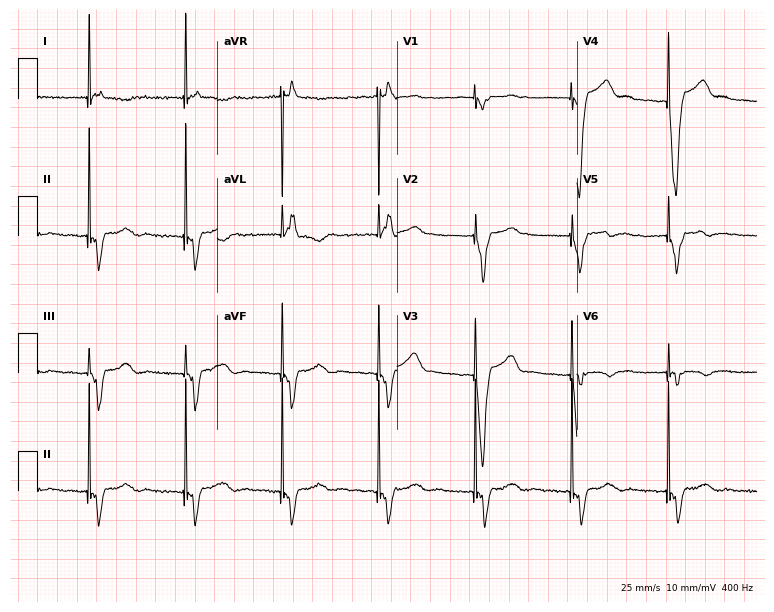
Standard 12-lead ECG recorded from a female, 58 years old (7.3-second recording at 400 Hz). None of these six findings is recorded: first-degree AV block, right bundle branch block, left bundle branch block, sinus bradycardia, atrial fibrillation, sinus tachycardia. Other findings, if any, are not listed.